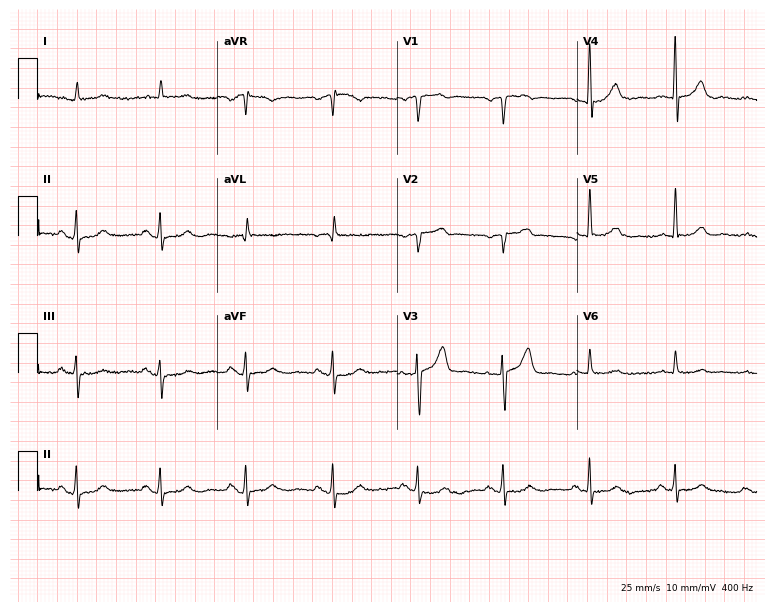
Standard 12-lead ECG recorded from a man, 79 years old (7.3-second recording at 400 Hz). Read as a normal ECG.